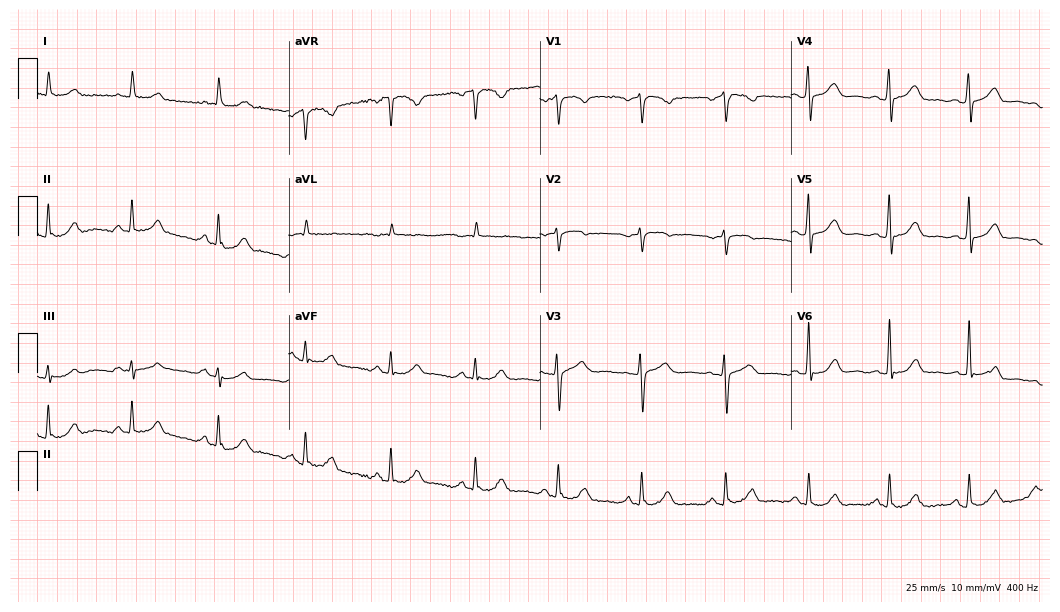
Resting 12-lead electrocardiogram. Patient: a female, 70 years old. Read as a normal ECG.